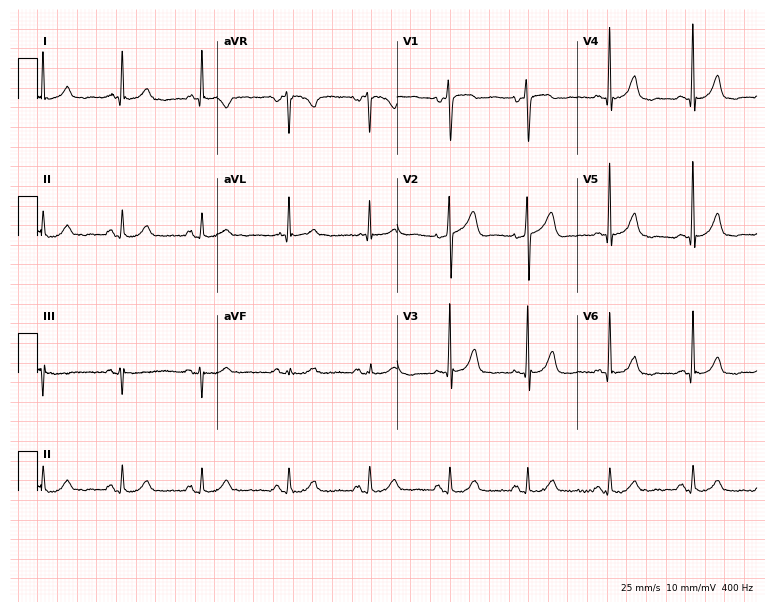
12-lead ECG from a 74-year-old male patient. No first-degree AV block, right bundle branch block, left bundle branch block, sinus bradycardia, atrial fibrillation or sinus tachycardia recorded for this tracing.